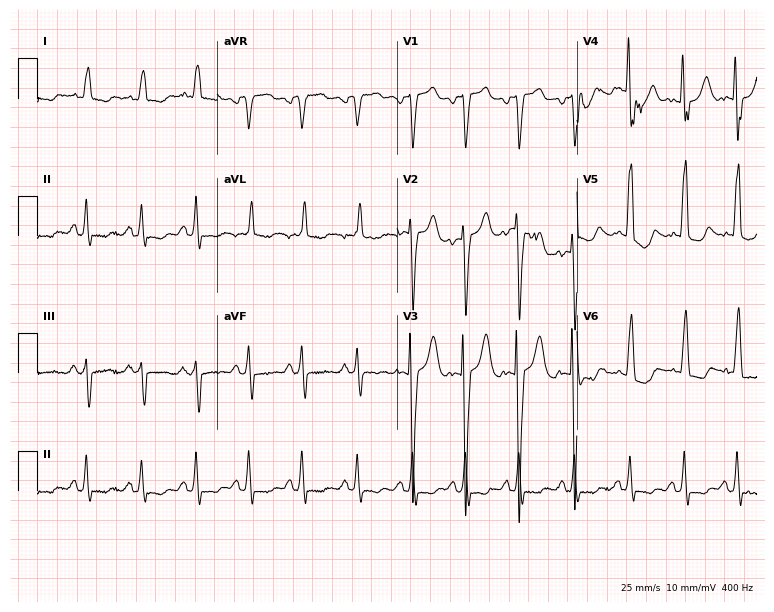
Electrocardiogram (7.3-second recording at 400 Hz), a 38-year-old man. Interpretation includes sinus tachycardia (a sinus rate of 100 beats per minute or more).